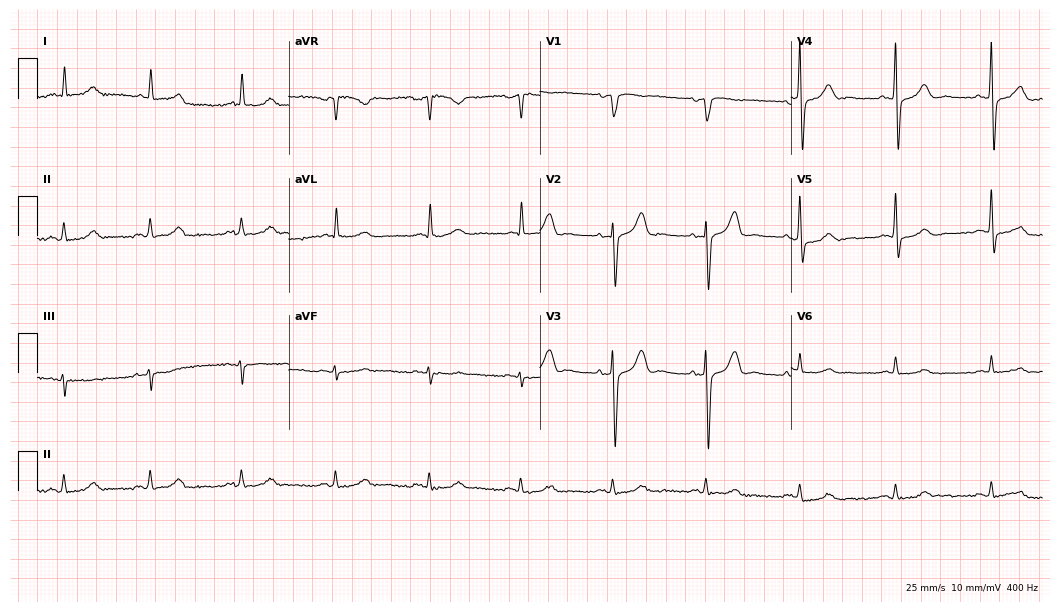
Resting 12-lead electrocardiogram (10.2-second recording at 400 Hz). Patient: a man, 78 years old. Read as a normal ECG.